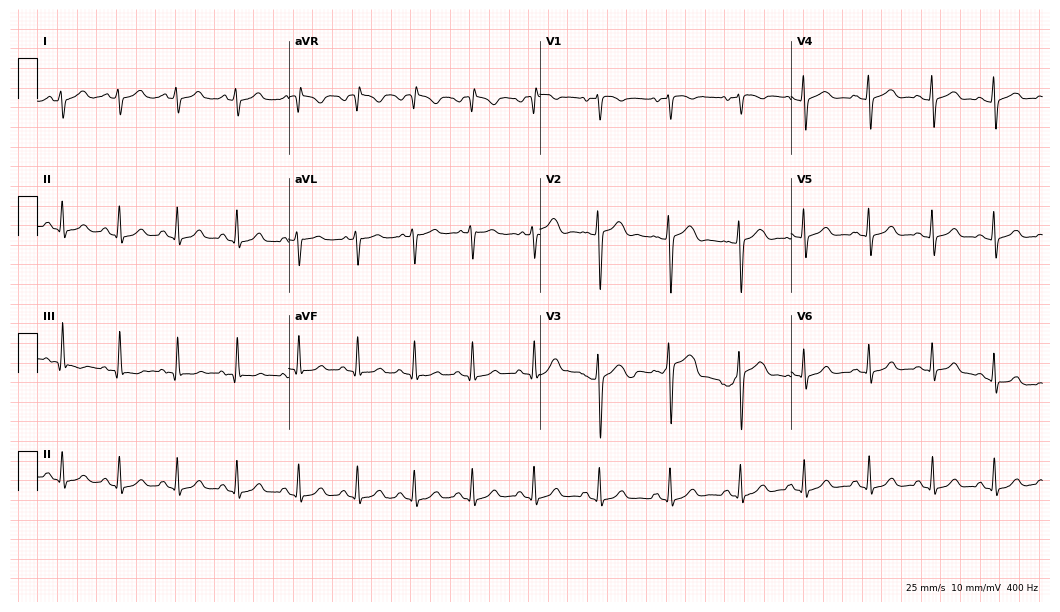
ECG (10.2-second recording at 400 Hz) — a female patient, 35 years old. Labelled as a normal ECG.